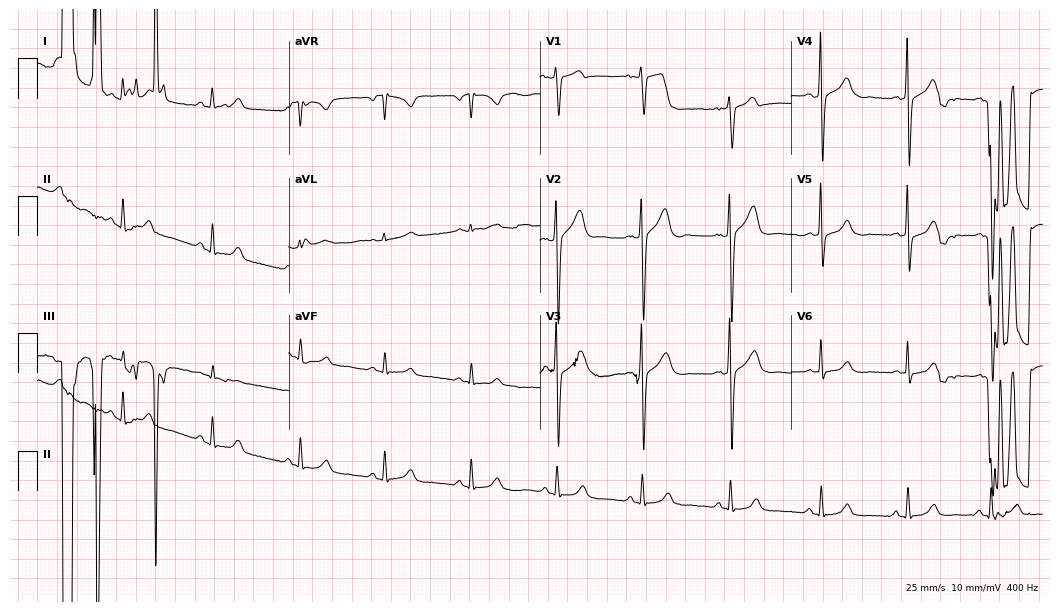
Electrocardiogram, a male, 53 years old. Overall reading on record: normal ECG.